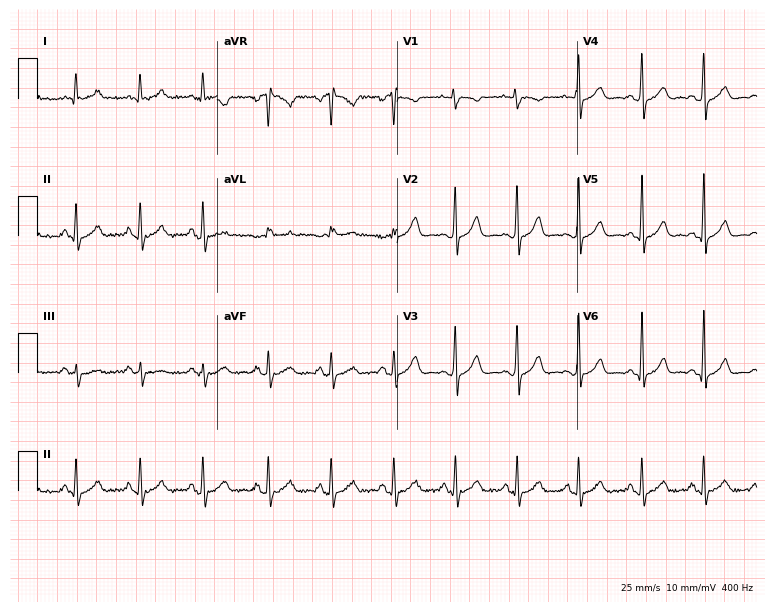
12-lead ECG from a female patient, 29 years old. Screened for six findings — first-degree AV block, right bundle branch block, left bundle branch block, sinus bradycardia, atrial fibrillation, sinus tachycardia — none is recorded.